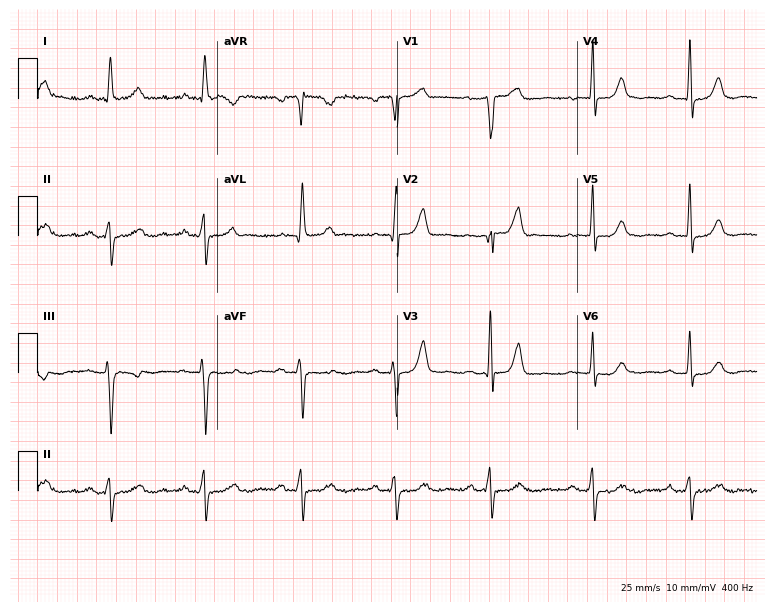
Resting 12-lead electrocardiogram (7.3-second recording at 400 Hz). Patient: a 58-year-old female. None of these six findings is recorded: first-degree AV block, right bundle branch block, left bundle branch block, sinus bradycardia, atrial fibrillation, sinus tachycardia. Findings outside these six are not listed.